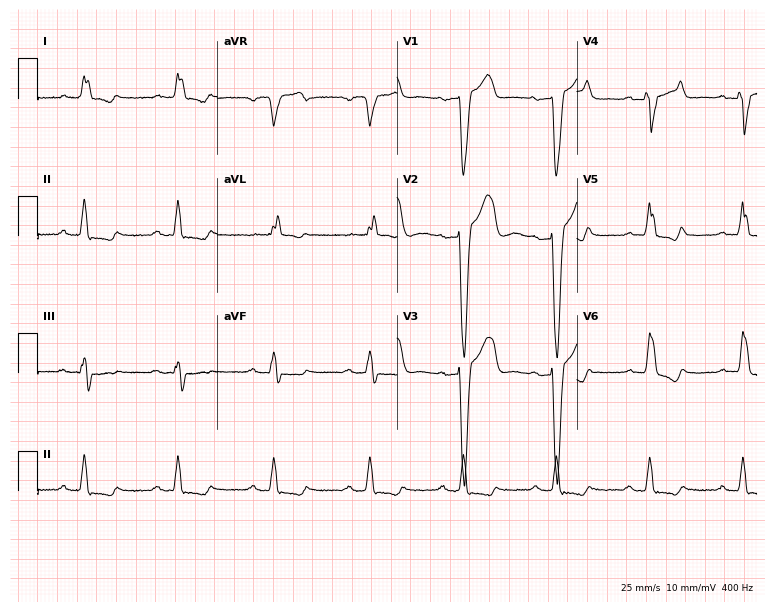
Standard 12-lead ECG recorded from a 68-year-old man (7.3-second recording at 400 Hz). The tracing shows left bundle branch block.